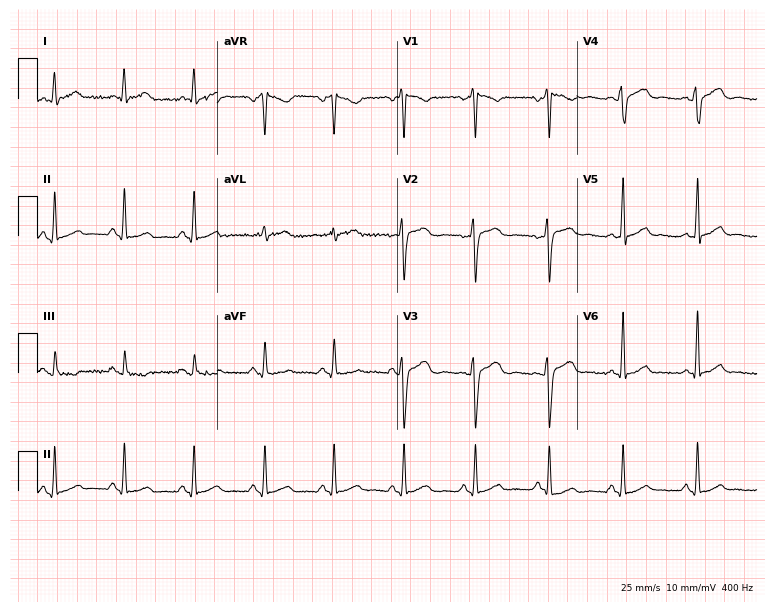
Resting 12-lead electrocardiogram (7.3-second recording at 400 Hz). Patient: a woman, 46 years old. None of these six findings is recorded: first-degree AV block, right bundle branch block, left bundle branch block, sinus bradycardia, atrial fibrillation, sinus tachycardia. Only these six findings were labelled.